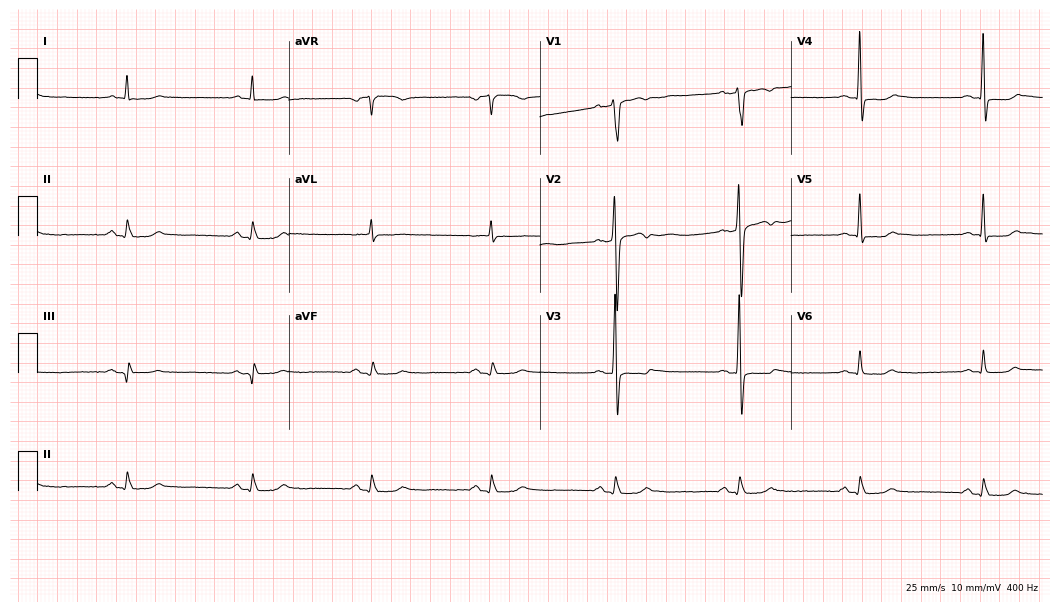
Resting 12-lead electrocardiogram. Patient: a man, 64 years old. The tracing shows sinus bradycardia (a sinus rate of 50 beats per minute or less).